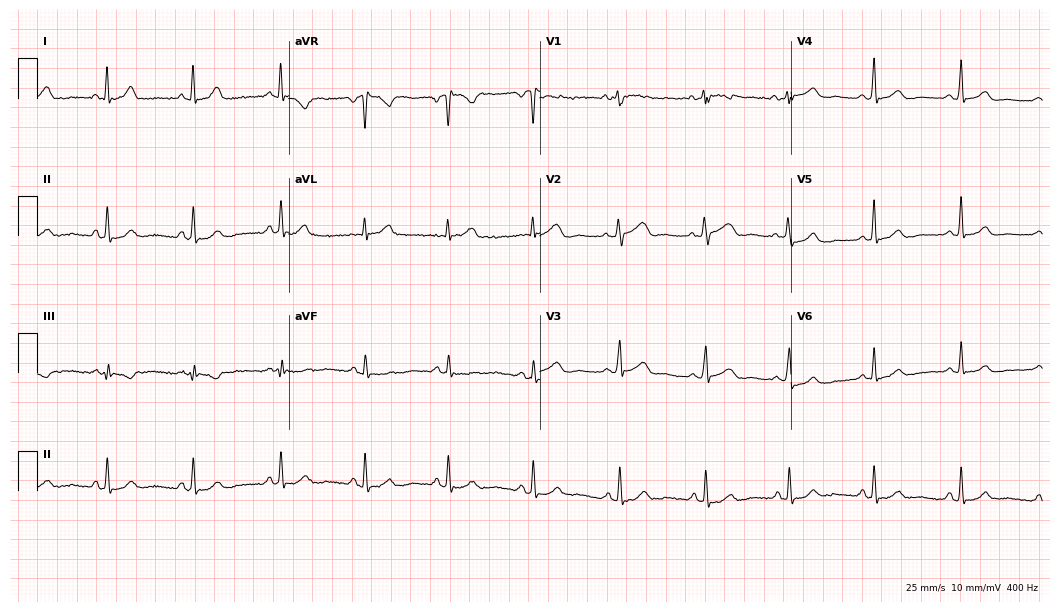
ECG — a female patient, 52 years old. Screened for six findings — first-degree AV block, right bundle branch block, left bundle branch block, sinus bradycardia, atrial fibrillation, sinus tachycardia — none is recorded. Findings outside these six are not listed.